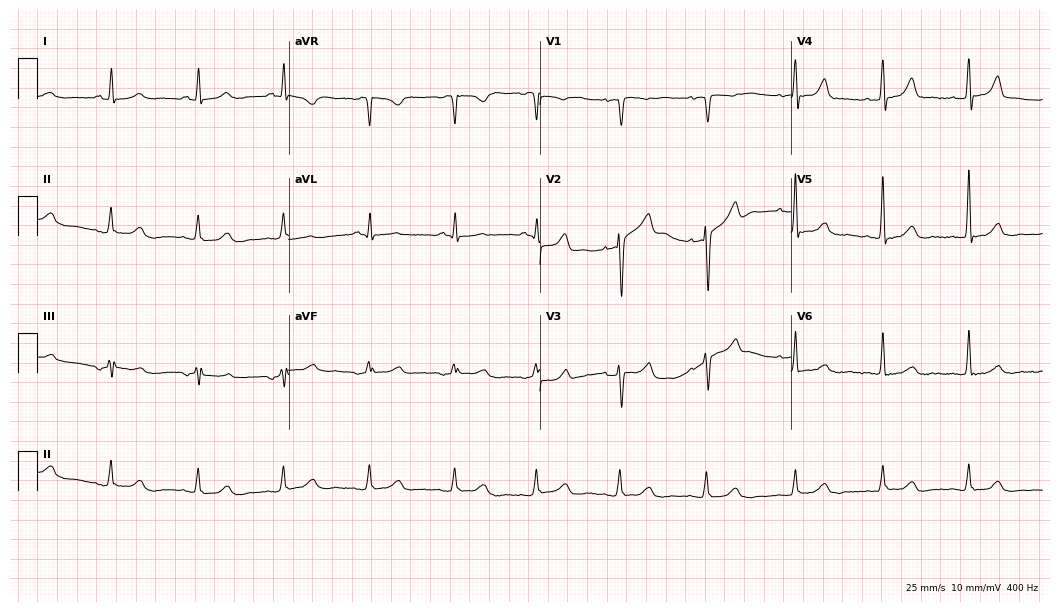
Electrocardiogram, a man, 47 years old. Overall reading on record: normal ECG.